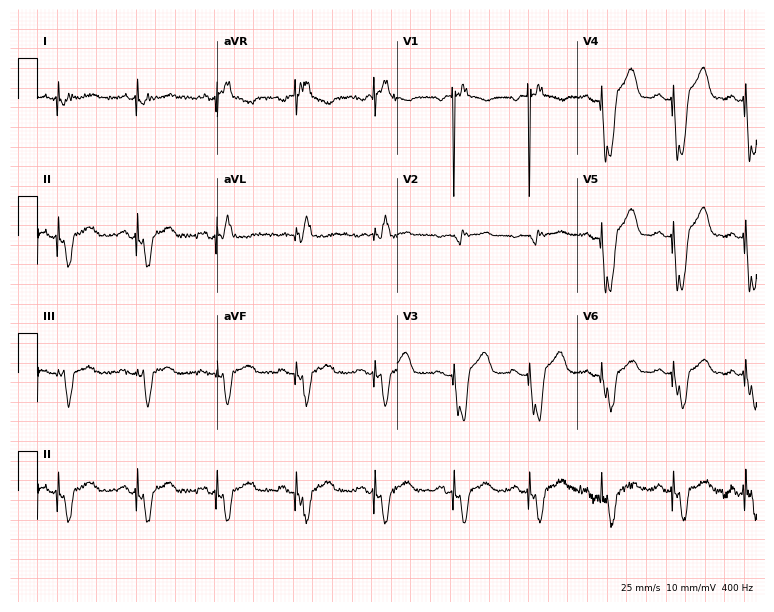
Standard 12-lead ECG recorded from a 61-year-old female. None of these six findings is recorded: first-degree AV block, right bundle branch block, left bundle branch block, sinus bradycardia, atrial fibrillation, sinus tachycardia.